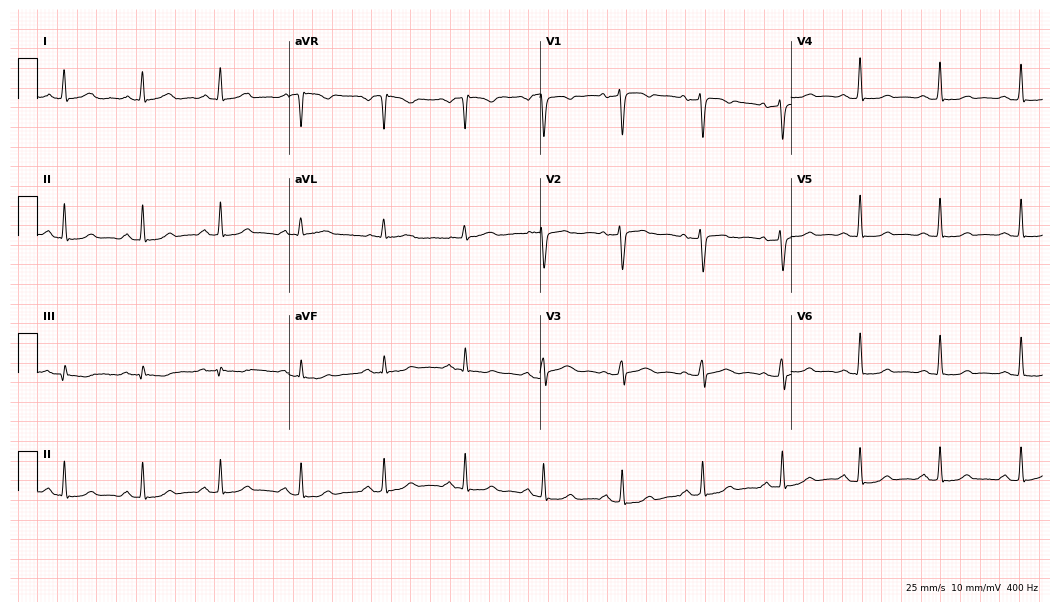
Electrocardiogram, a female patient, 46 years old. Overall reading on record: normal ECG.